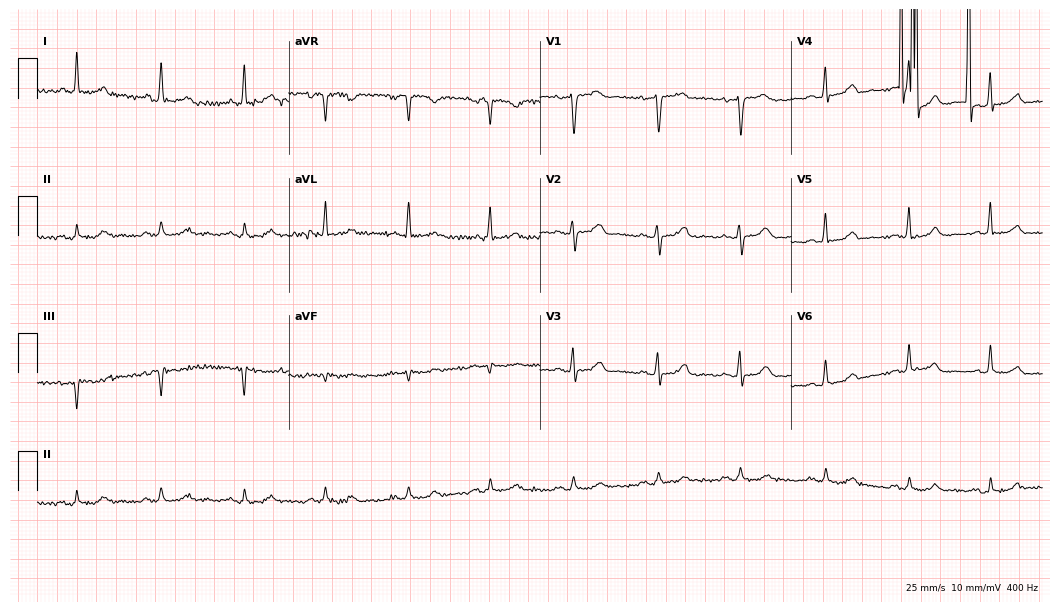
12-lead ECG (10.2-second recording at 400 Hz) from a female, 72 years old. Screened for six findings — first-degree AV block, right bundle branch block (RBBB), left bundle branch block (LBBB), sinus bradycardia, atrial fibrillation (AF), sinus tachycardia — none is recorded. Other findings, if any, are not listed.